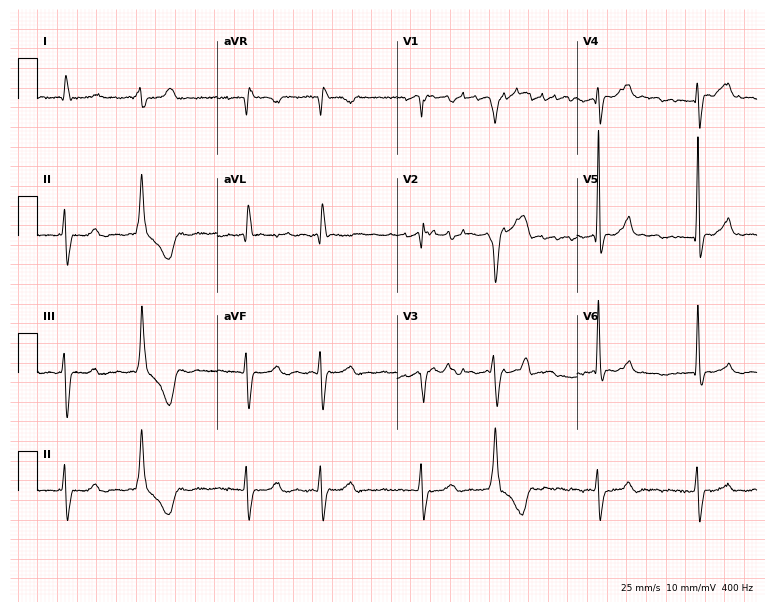
Standard 12-lead ECG recorded from a woman, 72 years old. The tracing shows right bundle branch block, atrial fibrillation.